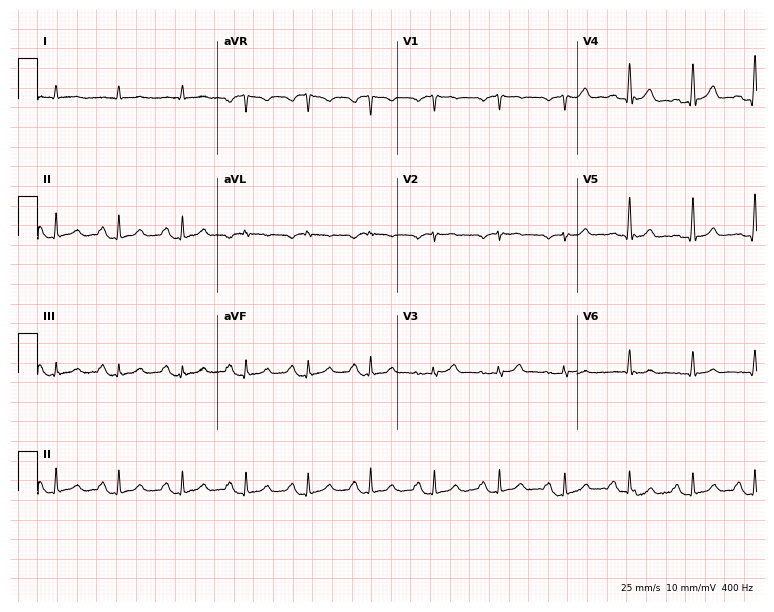
12-lead ECG (7.3-second recording at 400 Hz) from a woman, 68 years old. Labelled as a normal ECG.